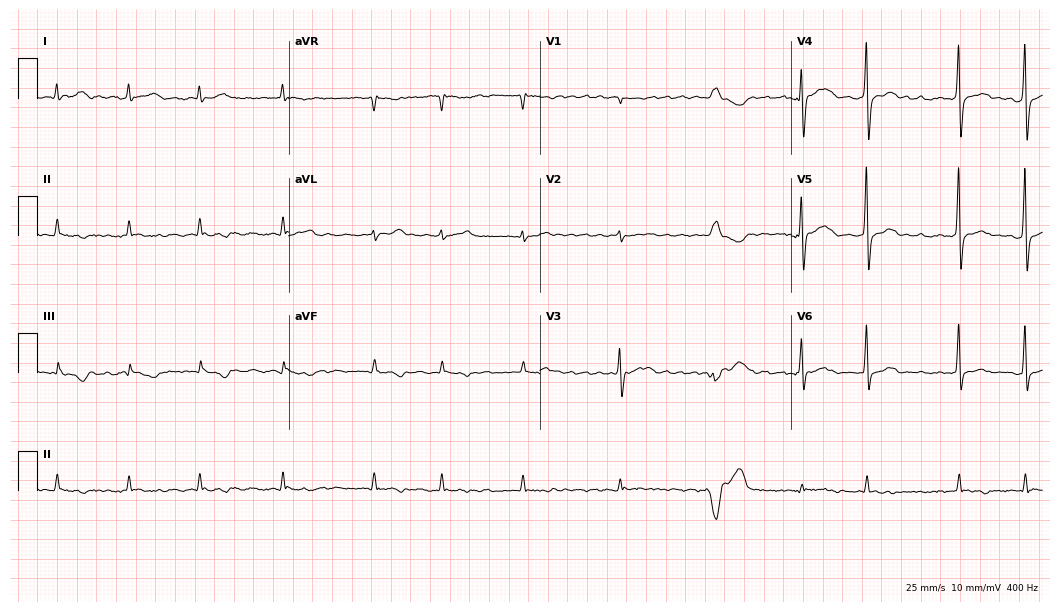
12-lead ECG from a 64-year-old male (10.2-second recording at 400 Hz). Shows atrial fibrillation (AF).